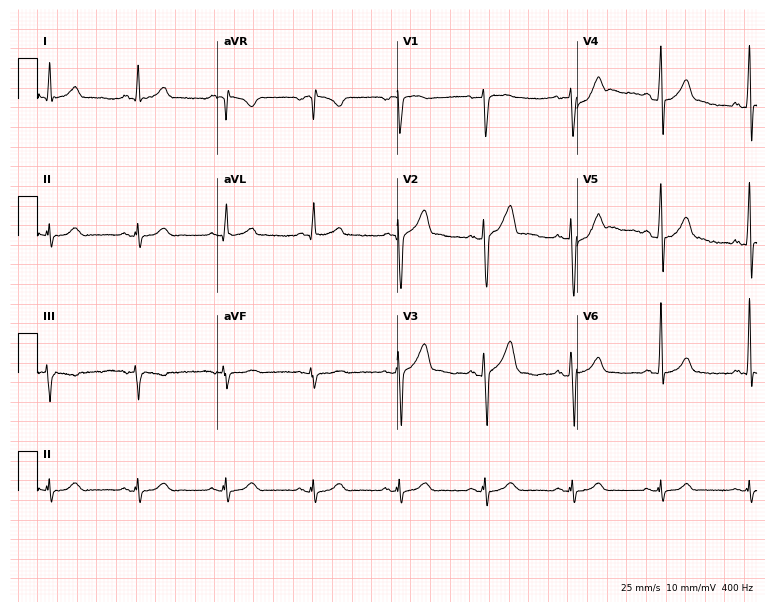
Standard 12-lead ECG recorded from a man, 32 years old. Read as a normal ECG.